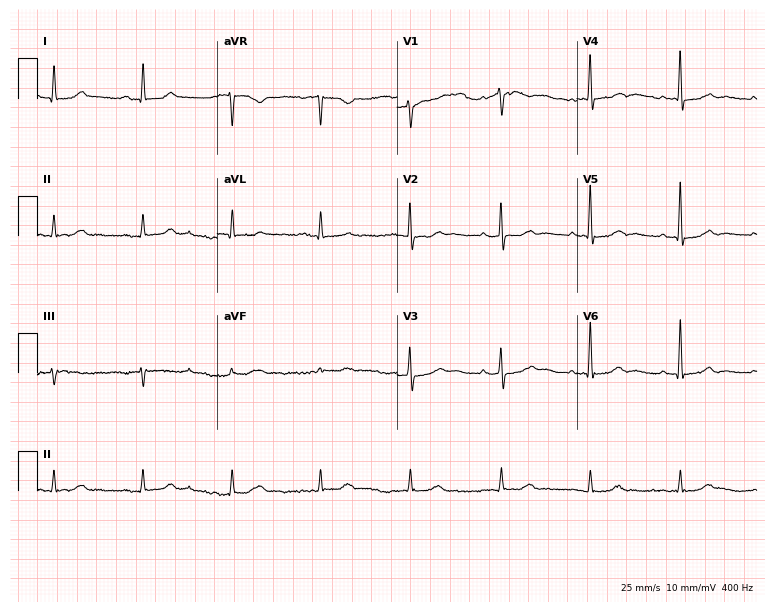
12-lead ECG from an 83-year-old man (7.3-second recording at 400 Hz). Recorded interpretation: within normal limits.